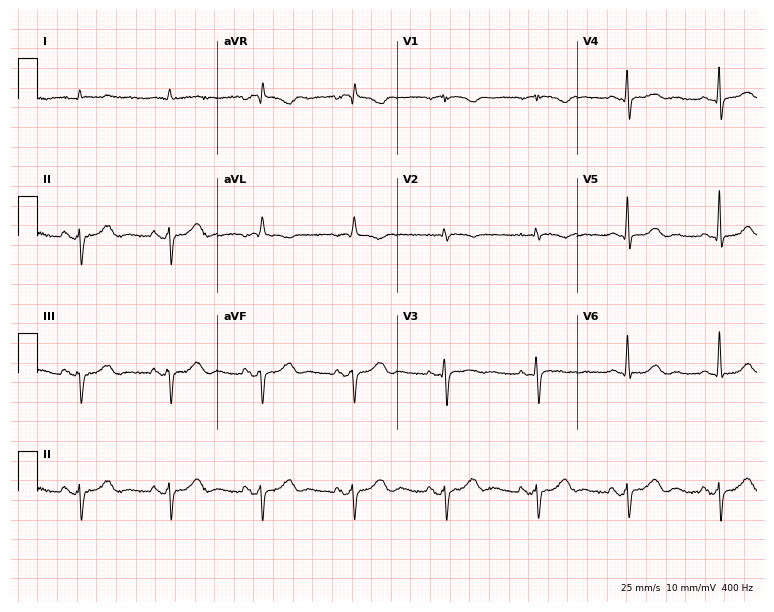
Resting 12-lead electrocardiogram. Patient: a male, 81 years old. None of these six findings is recorded: first-degree AV block, right bundle branch block, left bundle branch block, sinus bradycardia, atrial fibrillation, sinus tachycardia. Other findings, if any, are not listed.